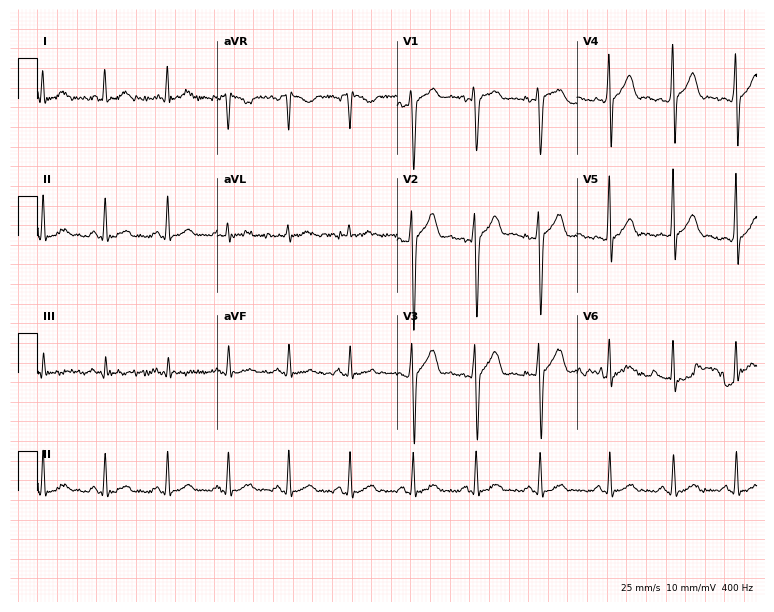
12-lead ECG from a male patient, 25 years old (7.3-second recording at 400 Hz). Recorded interpretation: within normal limits.